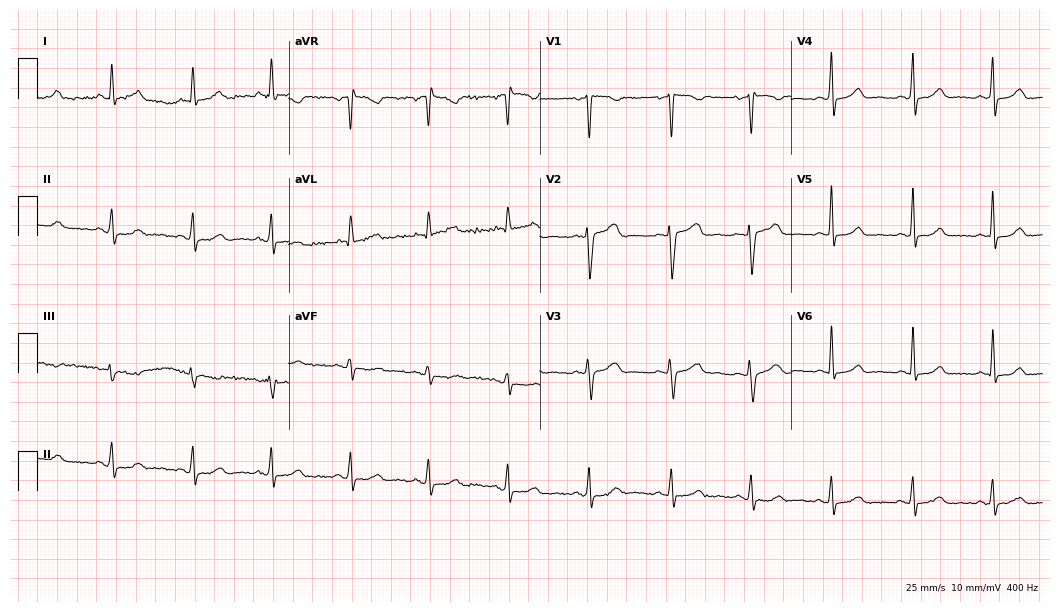
Standard 12-lead ECG recorded from a 47-year-old female (10.2-second recording at 400 Hz). Read as a normal ECG.